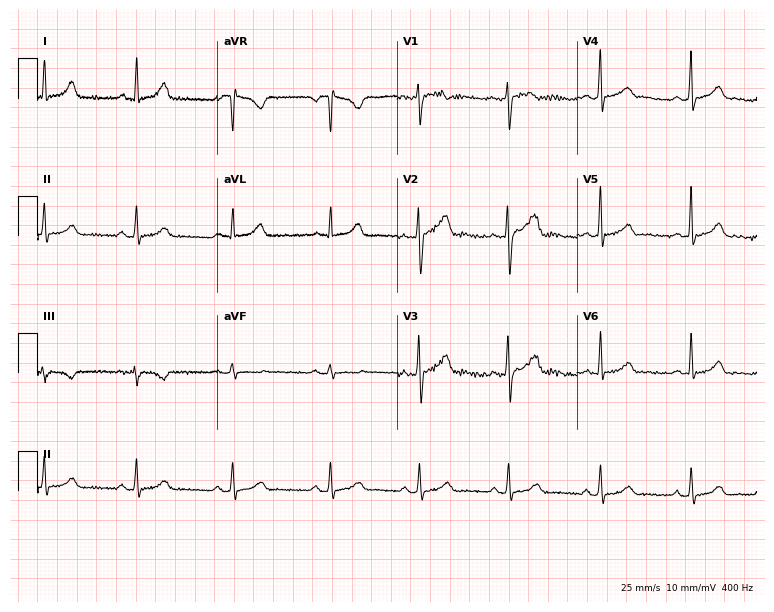
12-lead ECG from a 32-year-old woman (7.3-second recording at 400 Hz). Recorded interpretation: within normal limits.